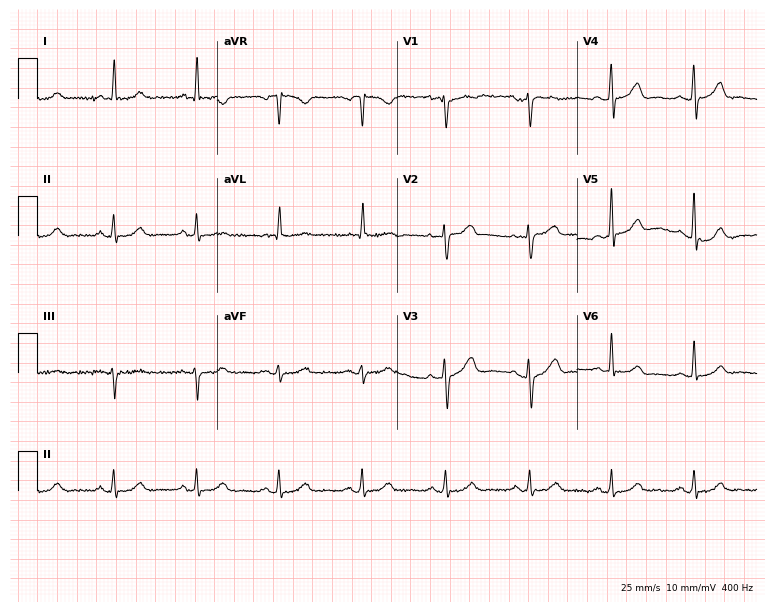
Resting 12-lead electrocardiogram (7.3-second recording at 400 Hz). Patient: a female, 80 years old. None of these six findings is recorded: first-degree AV block, right bundle branch block (RBBB), left bundle branch block (LBBB), sinus bradycardia, atrial fibrillation (AF), sinus tachycardia. Only these six findings were labelled.